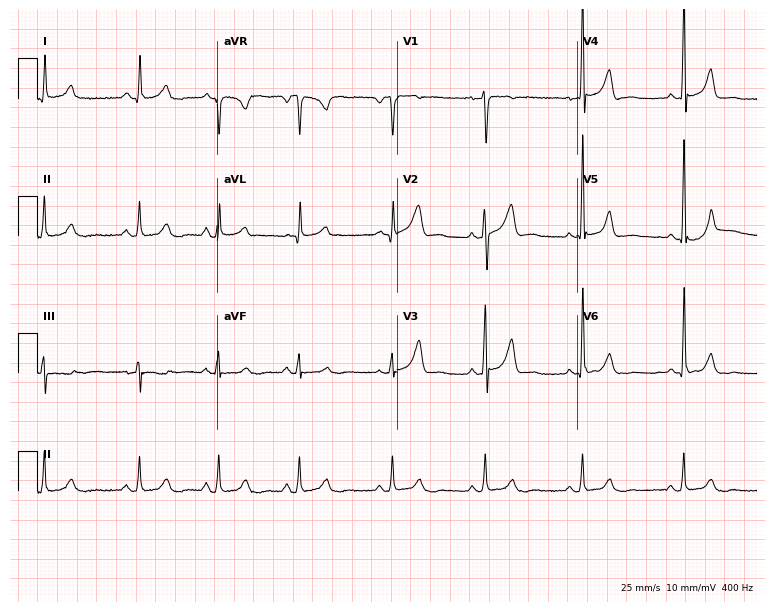
ECG (7.3-second recording at 400 Hz) — a female patient, 44 years old. Screened for six findings — first-degree AV block, right bundle branch block, left bundle branch block, sinus bradycardia, atrial fibrillation, sinus tachycardia — none is recorded. Findings outside these six are not listed.